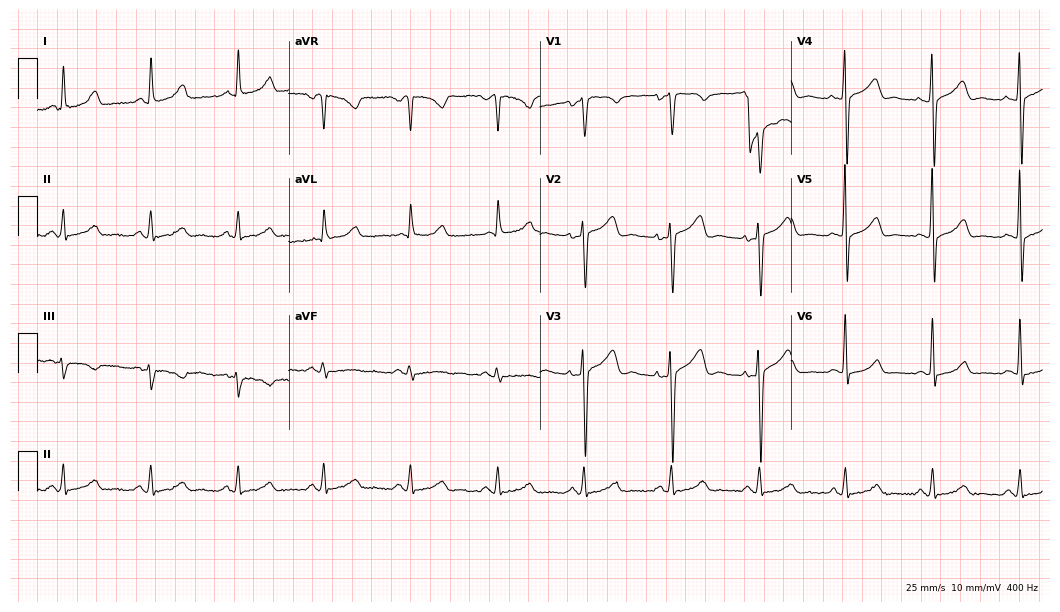
Resting 12-lead electrocardiogram. Patient: a 53-year-old male. None of these six findings is recorded: first-degree AV block, right bundle branch block (RBBB), left bundle branch block (LBBB), sinus bradycardia, atrial fibrillation (AF), sinus tachycardia.